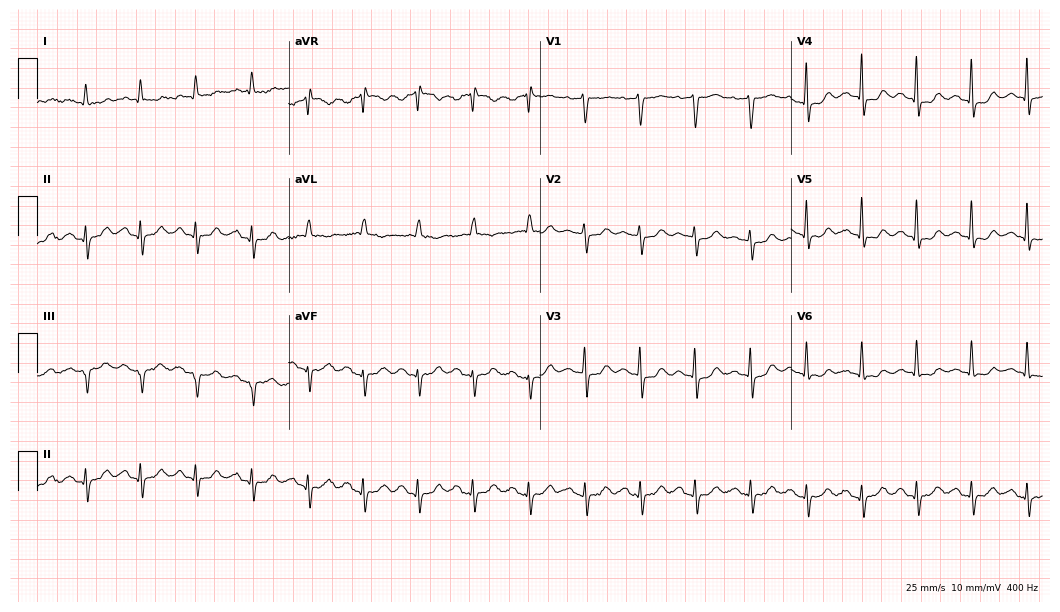
ECG — a 68-year-old male. Findings include sinus tachycardia (a sinus rate of 100 beats per minute or more).